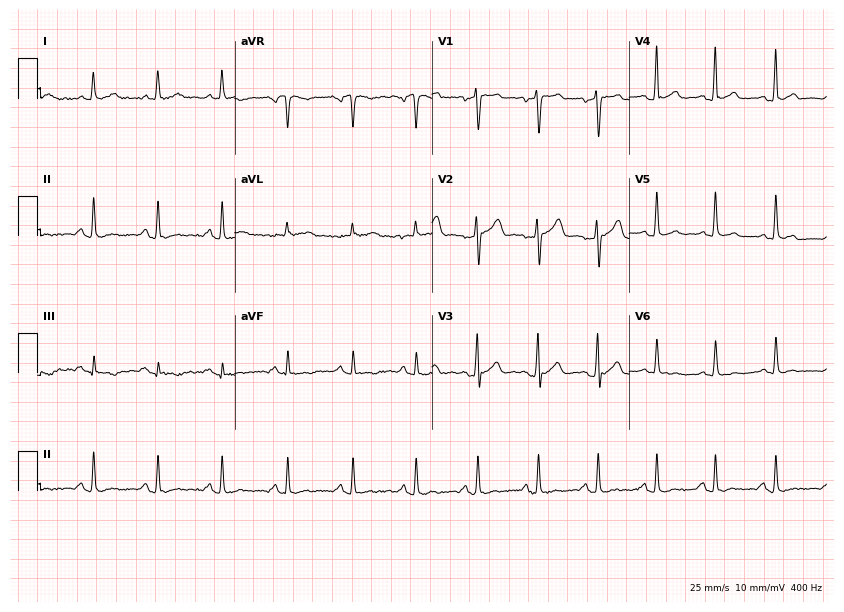
ECG — a 43-year-old male patient. Screened for six findings — first-degree AV block, right bundle branch block (RBBB), left bundle branch block (LBBB), sinus bradycardia, atrial fibrillation (AF), sinus tachycardia — none is recorded.